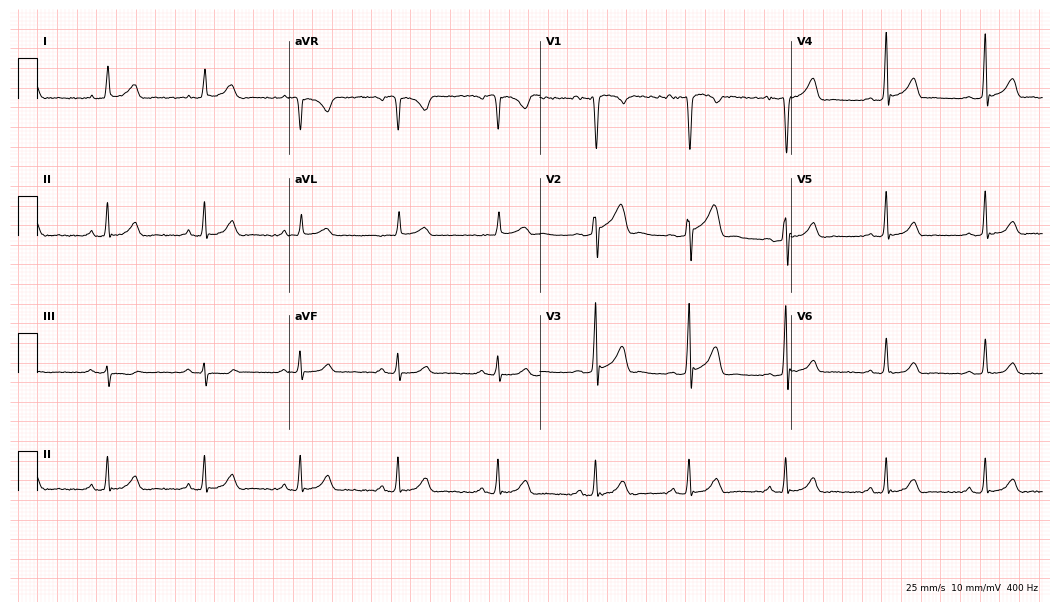
Standard 12-lead ECG recorded from a male, 32 years old (10.2-second recording at 400 Hz). None of these six findings is recorded: first-degree AV block, right bundle branch block (RBBB), left bundle branch block (LBBB), sinus bradycardia, atrial fibrillation (AF), sinus tachycardia. Other findings, if any, are not listed.